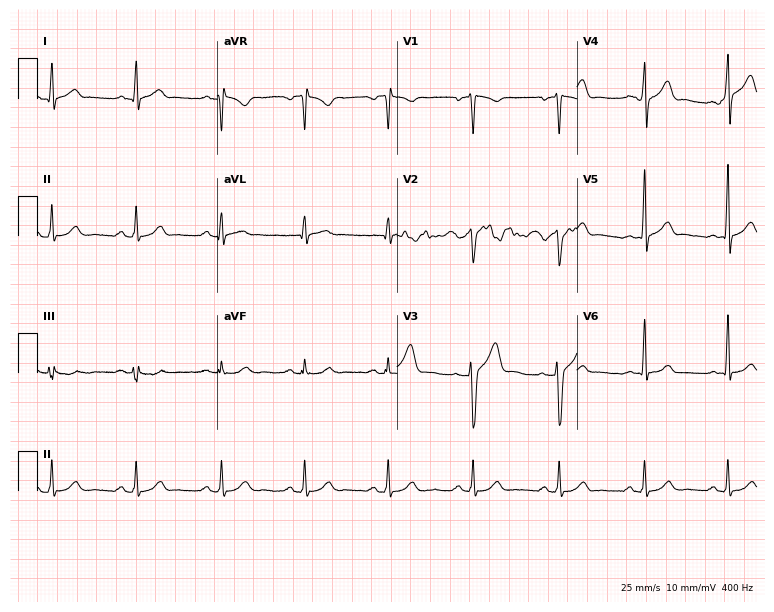
Electrocardiogram (7.3-second recording at 400 Hz), a 37-year-old man. Overall reading on record: normal ECG.